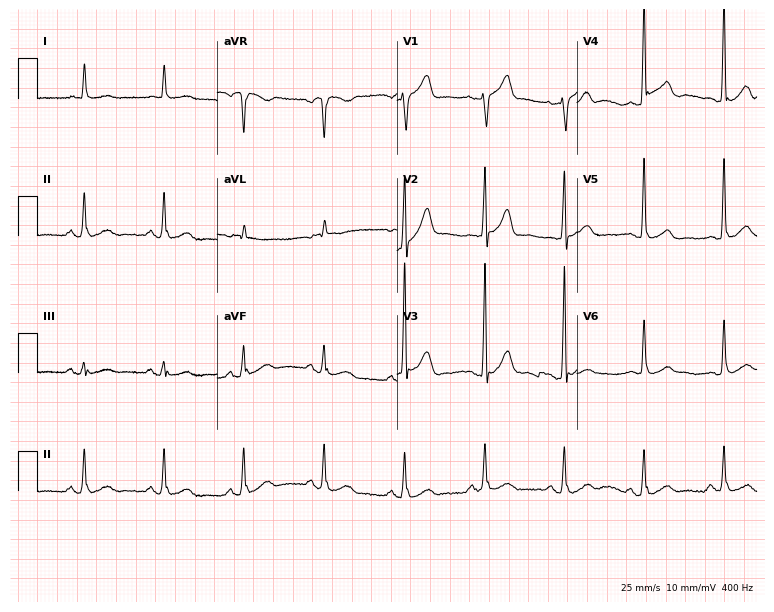
Standard 12-lead ECG recorded from a male patient, 69 years old. Read as a normal ECG.